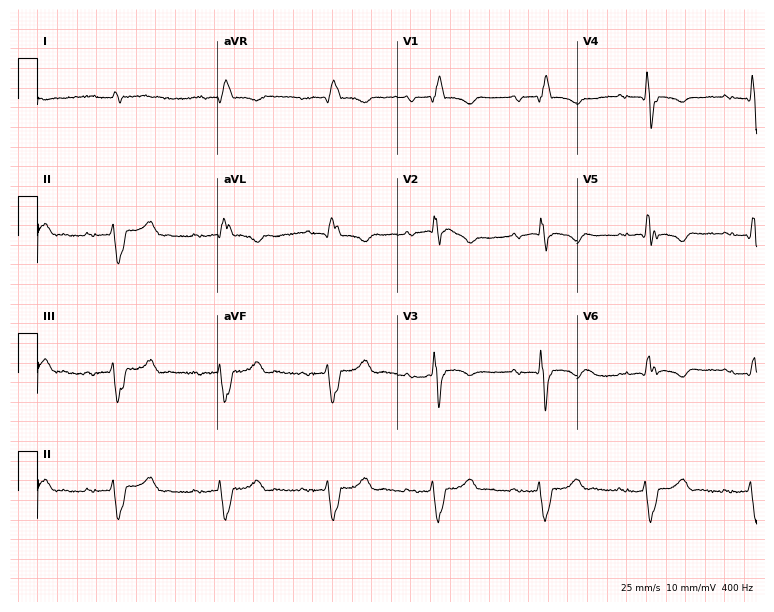
Standard 12-lead ECG recorded from a 56-year-old male patient. The tracing shows first-degree AV block, right bundle branch block.